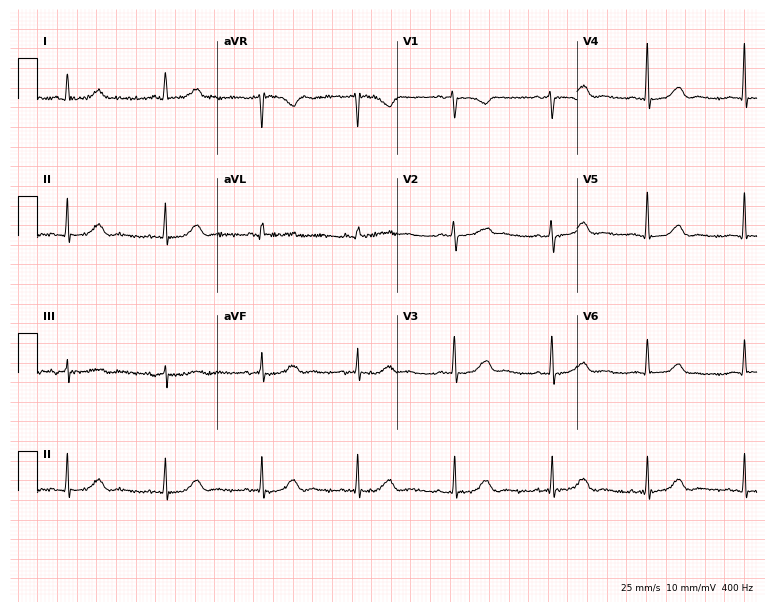
ECG — a woman, 77 years old. Screened for six findings — first-degree AV block, right bundle branch block (RBBB), left bundle branch block (LBBB), sinus bradycardia, atrial fibrillation (AF), sinus tachycardia — none is recorded. Findings outside these six are not listed.